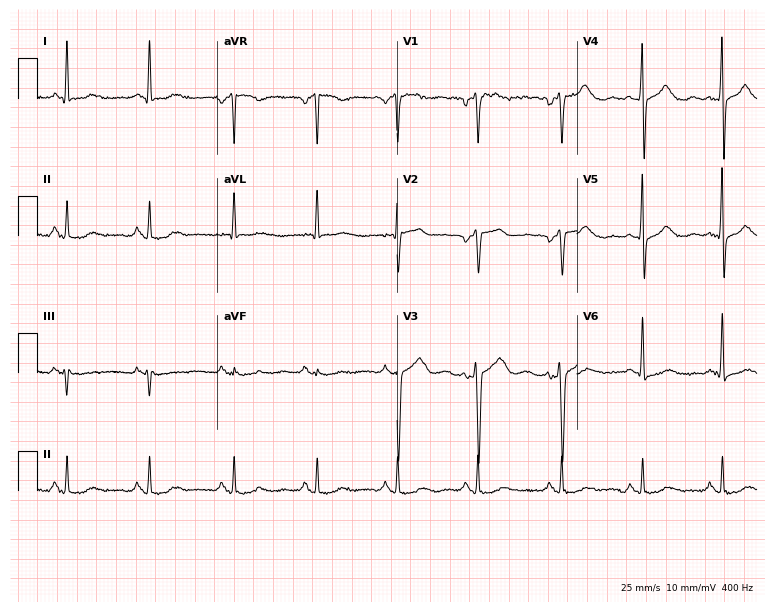
Standard 12-lead ECG recorded from a female patient, 52 years old (7.3-second recording at 400 Hz). Read as a normal ECG.